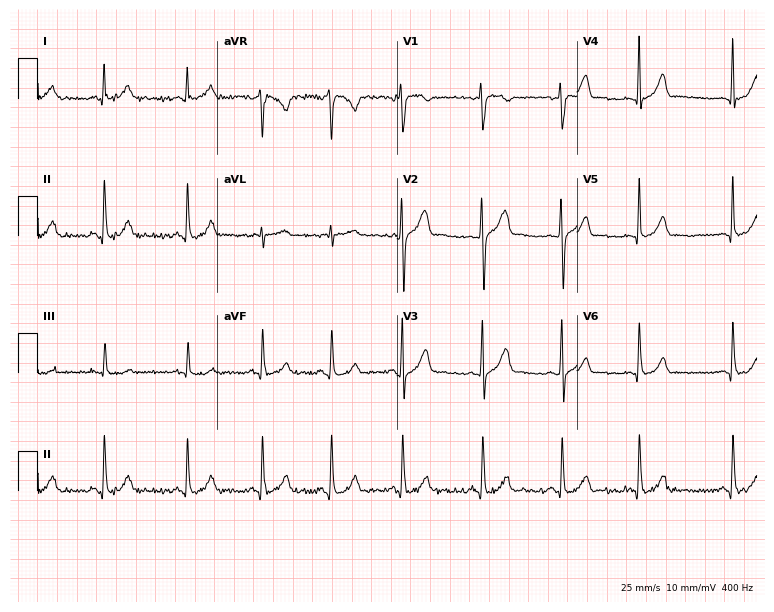
12-lead ECG from a man, 24 years old. Recorded interpretation: within normal limits.